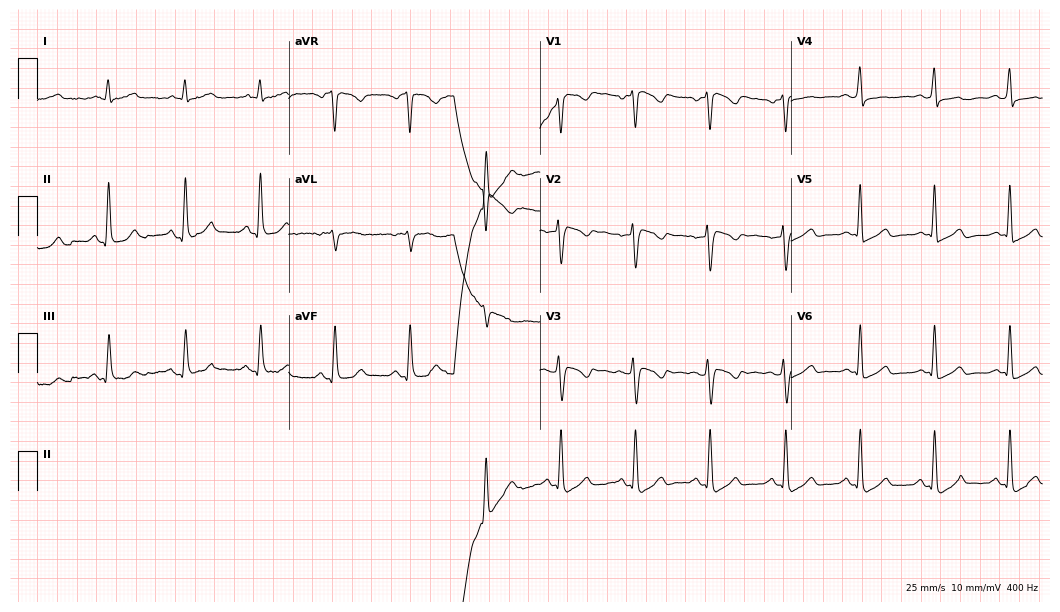
Resting 12-lead electrocardiogram (10.2-second recording at 400 Hz). Patient: a 32-year-old female. Read as a normal ECG.